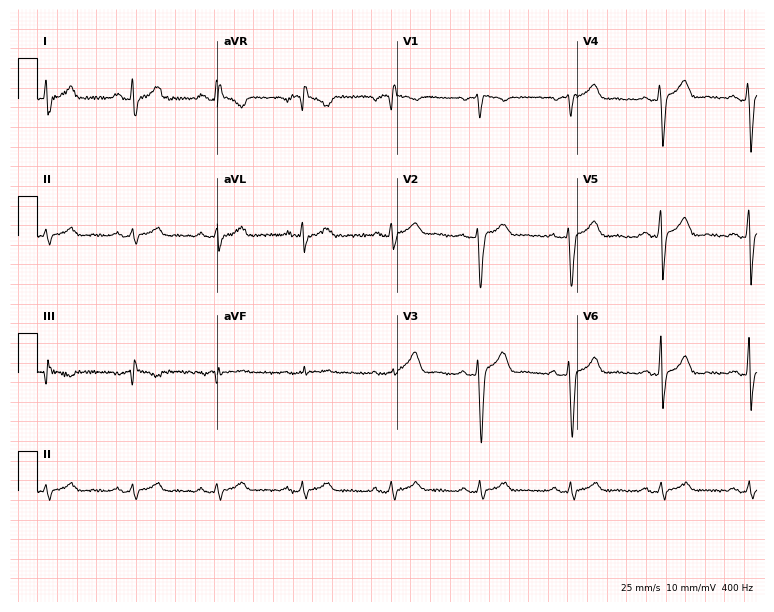
Electrocardiogram (7.3-second recording at 400 Hz), a male patient, 34 years old. Overall reading on record: normal ECG.